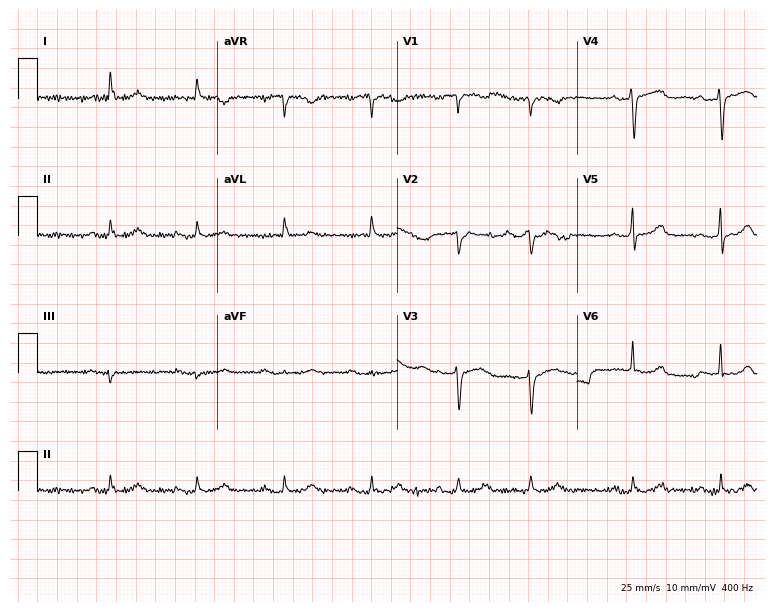
12-lead ECG from a 73-year-old female. Screened for six findings — first-degree AV block, right bundle branch block, left bundle branch block, sinus bradycardia, atrial fibrillation, sinus tachycardia — none is recorded.